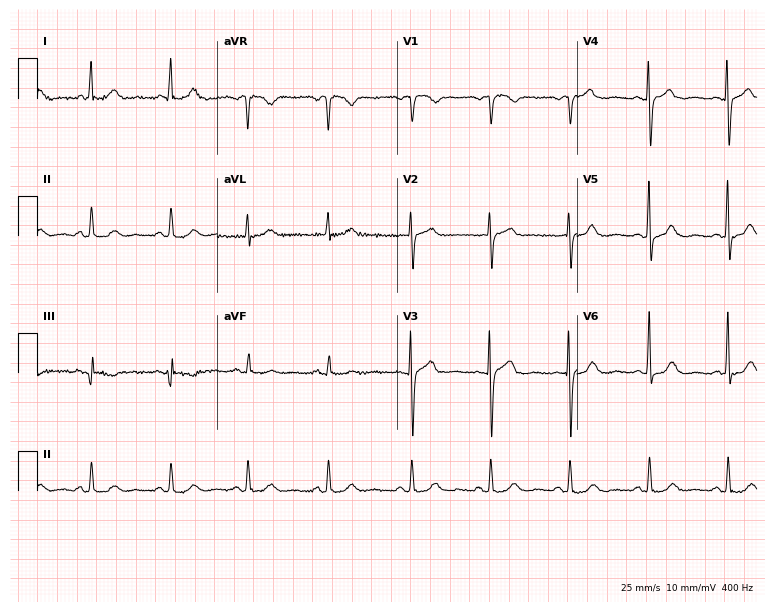
Standard 12-lead ECG recorded from a 75-year-old woman (7.3-second recording at 400 Hz). Read as a normal ECG.